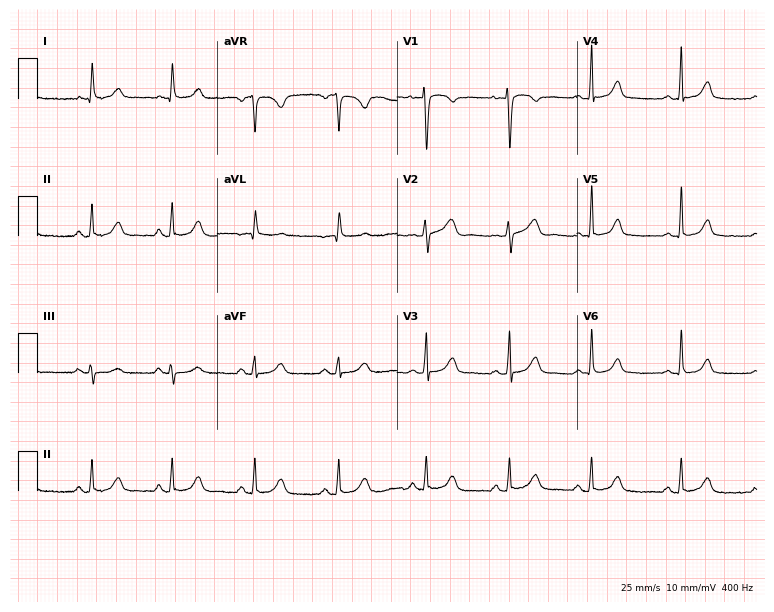
Resting 12-lead electrocardiogram (7.3-second recording at 400 Hz). Patient: a female, 32 years old. Read as a normal ECG.